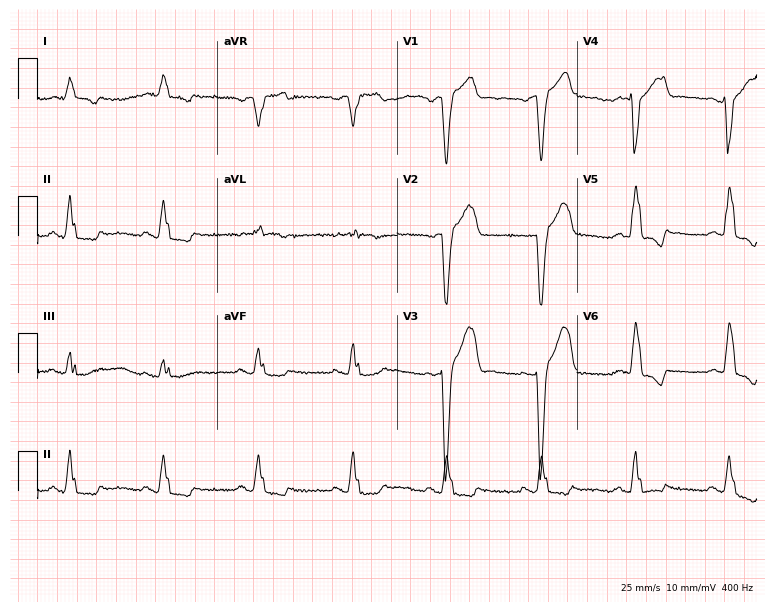
12-lead ECG (7.3-second recording at 400 Hz) from a male, 81 years old. Findings include left bundle branch block.